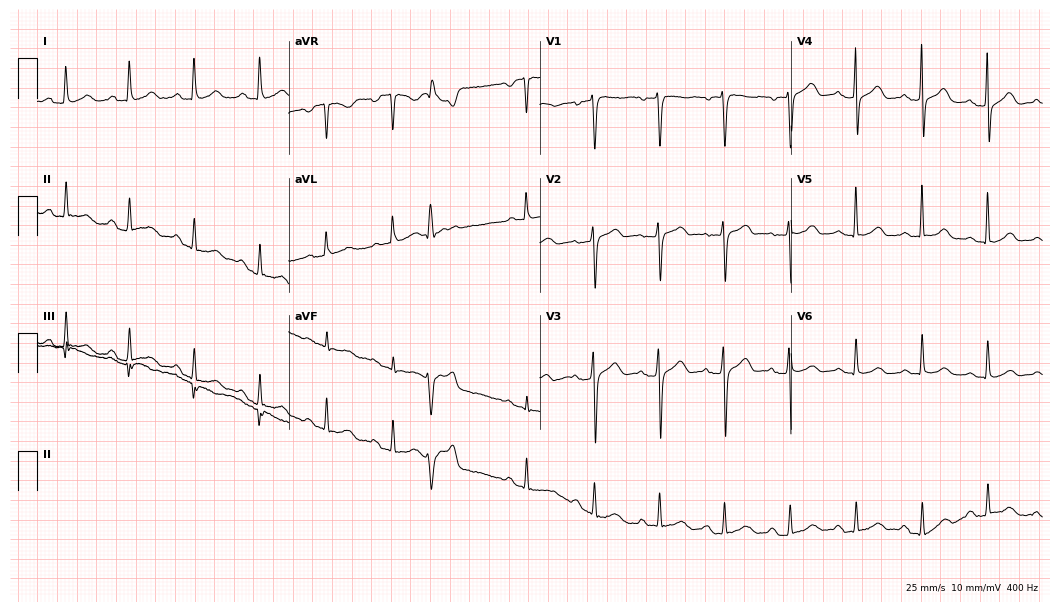
ECG (10.2-second recording at 400 Hz) — a 56-year-old woman. Screened for six findings — first-degree AV block, right bundle branch block, left bundle branch block, sinus bradycardia, atrial fibrillation, sinus tachycardia — none is recorded.